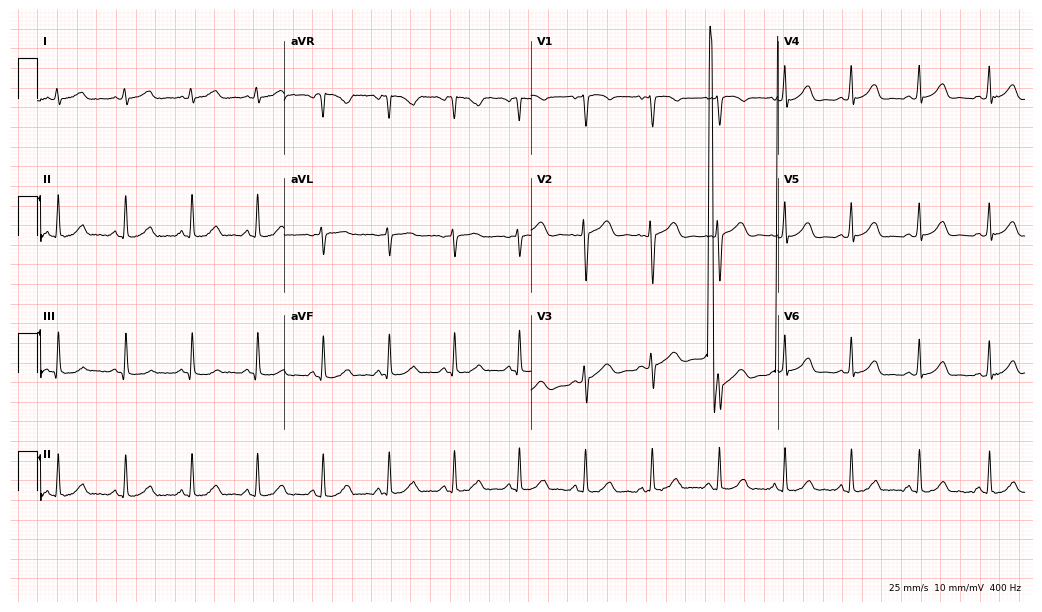
Resting 12-lead electrocardiogram. Patient: a female, 20 years old. Read as a normal ECG.